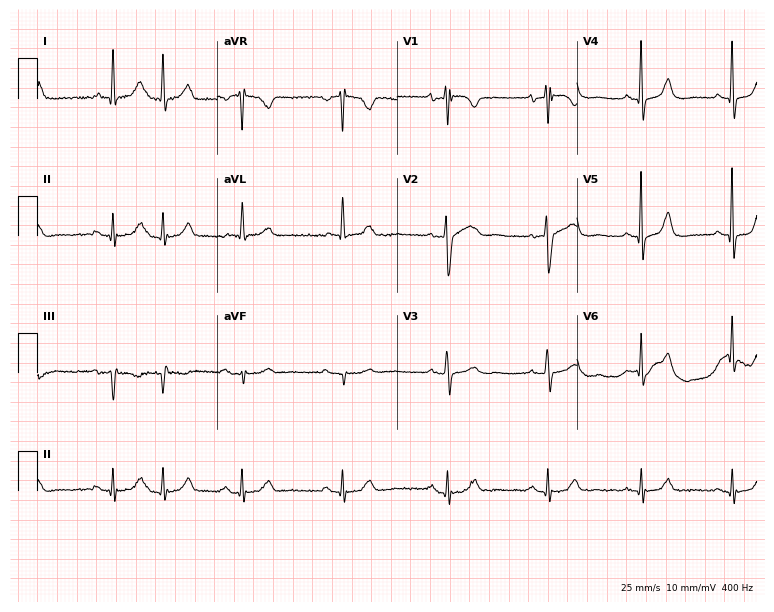
ECG (7.3-second recording at 400 Hz) — a female patient, 68 years old. Screened for six findings — first-degree AV block, right bundle branch block (RBBB), left bundle branch block (LBBB), sinus bradycardia, atrial fibrillation (AF), sinus tachycardia — none is recorded. Other findings, if any, are not listed.